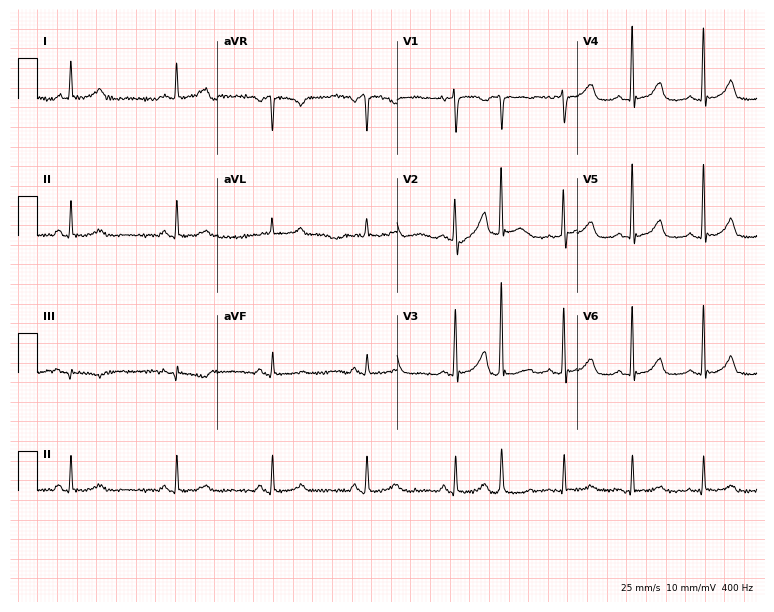
12-lead ECG from a 77-year-old female. Labelled as a normal ECG.